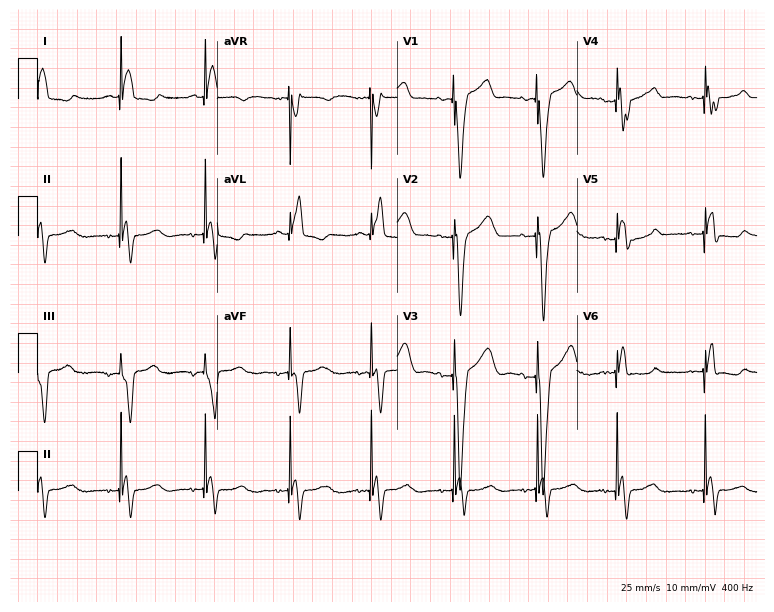
ECG — a 73-year-old female patient. Screened for six findings — first-degree AV block, right bundle branch block, left bundle branch block, sinus bradycardia, atrial fibrillation, sinus tachycardia — none is recorded. Only these six findings were labelled.